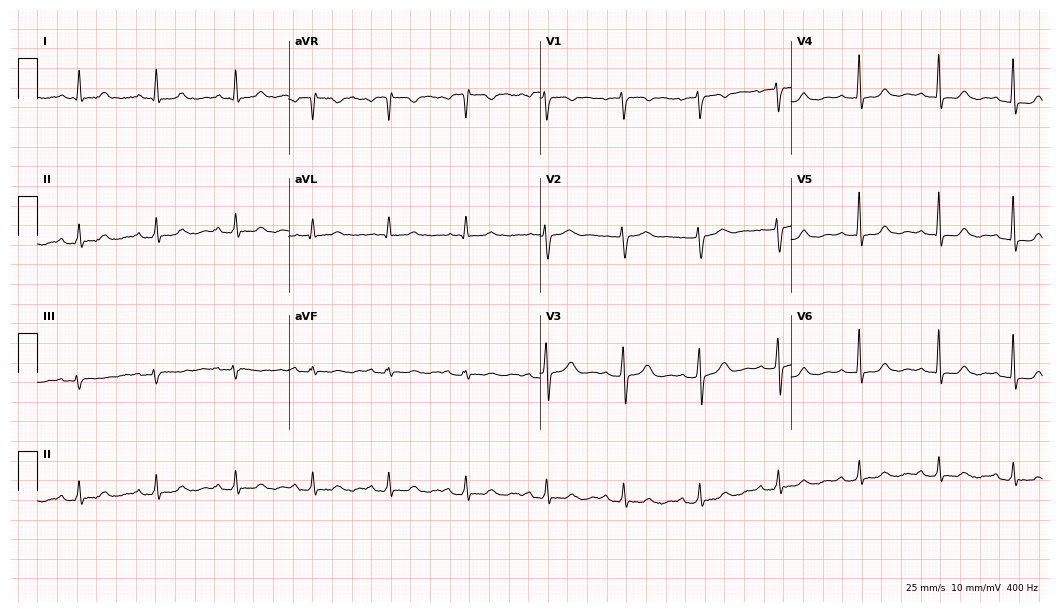
ECG — a female patient, 49 years old. Labelled as a normal ECG.